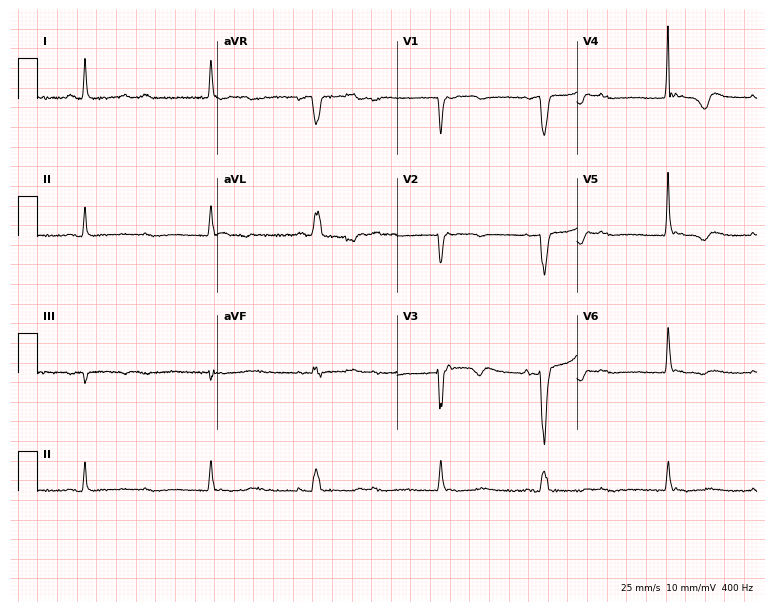
ECG — a 67-year-old female. Findings include left bundle branch block, atrial fibrillation.